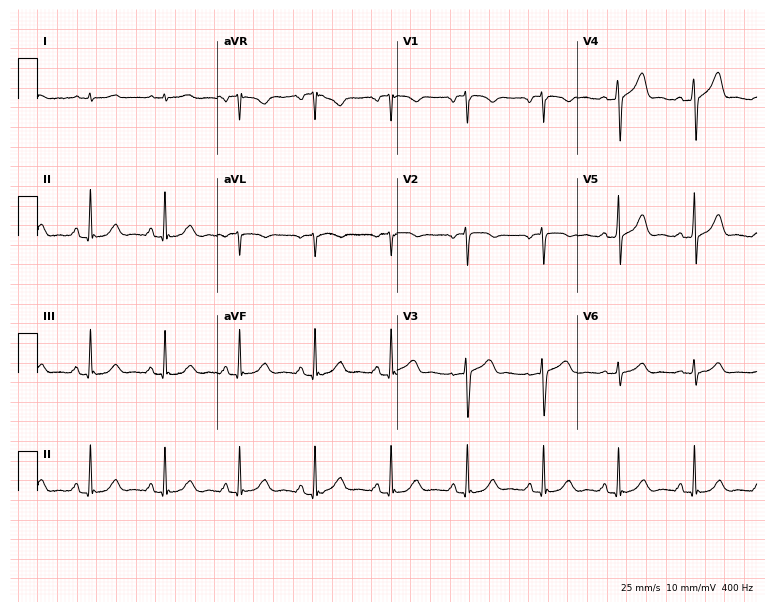
12-lead ECG (7.3-second recording at 400 Hz) from a 53-year-old man. Labelled as a normal ECG.